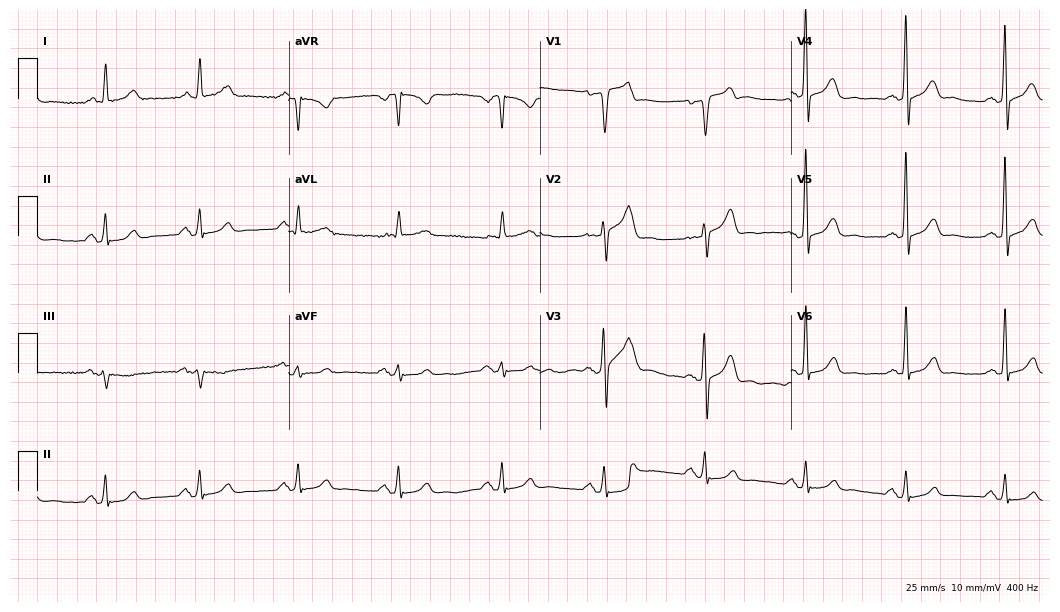
Electrocardiogram, a male patient, 61 years old. Of the six screened findings (first-degree AV block, right bundle branch block, left bundle branch block, sinus bradycardia, atrial fibrillation, sinus tachycardia), none is recorded. Findings outside these six are not listed.